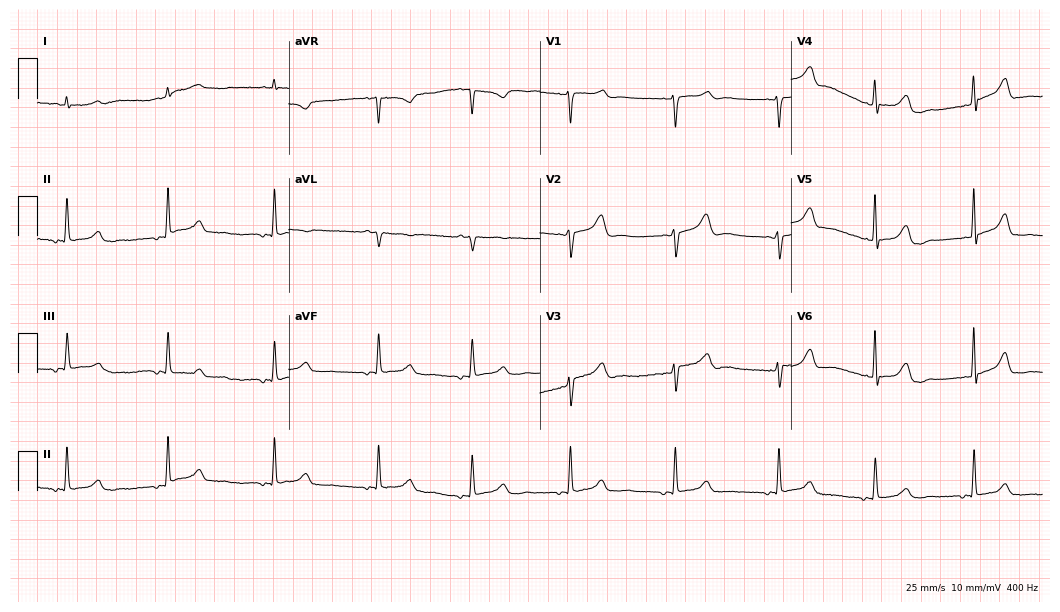
Resting 12-lead electrocardiogram (10.2-second recording at 400 Hz). Patient: a female, 72 years old. None of these six findings is recorded: first-degree AV block, right bundle branch block, left bundle branch block, sinus bradycardia, atrial fibrillation, sinus tachycardia. Other findings, if any, are not listed.